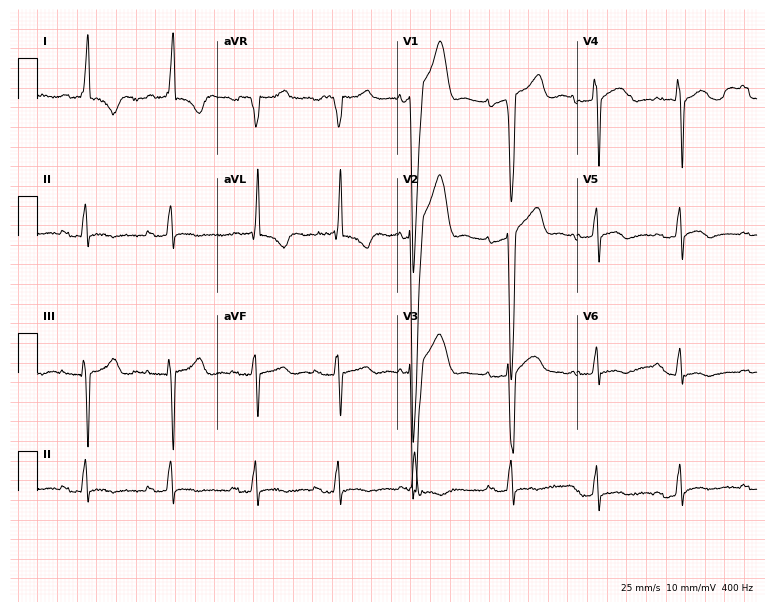
12-lead ECG from an 80-year-old woman (7.3-second recording at 400 Hz). No first-degree AV block, right bundle branch block, left bundle branch block, sinus bradycardia, atrial fibrillation or sinus tachycardia recorded for this tracing. Other findings, if any, are not listed.